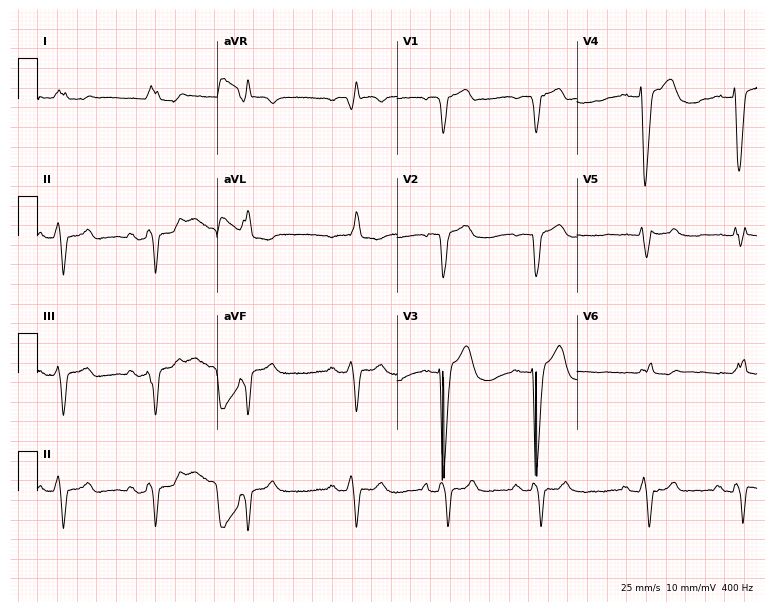
12-lead ECG (7.3-second recording at 400 Hz) from an 84-year-old male patient. Findings include left bundle branch block.